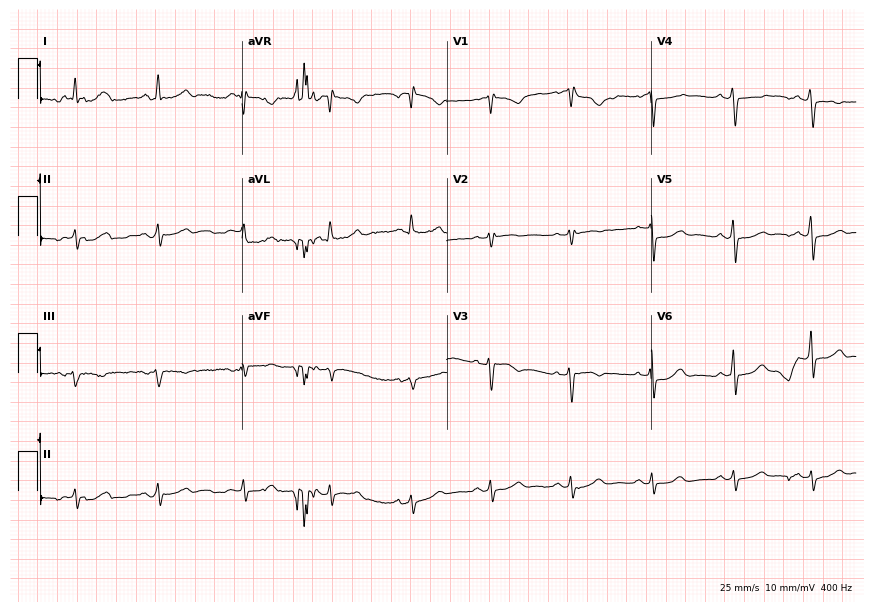
Resting 12-lead electrocardiogram (8.3-second recording at 400 Hz). Patient: a 57-year-old woman. None of these six findings is recorded: first-degree AV block, right bundle branch block (RBBB), left bundle branch block (LBBB), sinus bradycardia, atrial fibrillation (AF), sinus tachycardia.